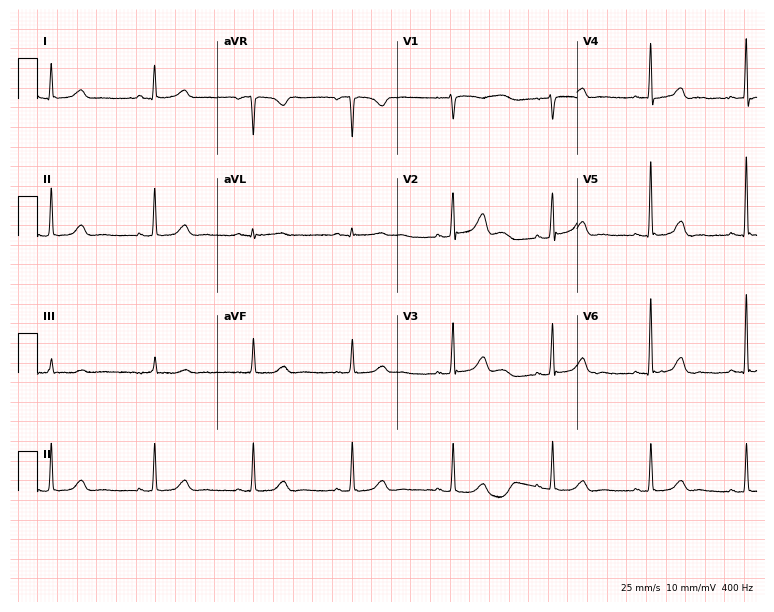
ECG (7.3-second recording at 400 Hz) — a woman, 58 years old. Labelled as a normal ECG.